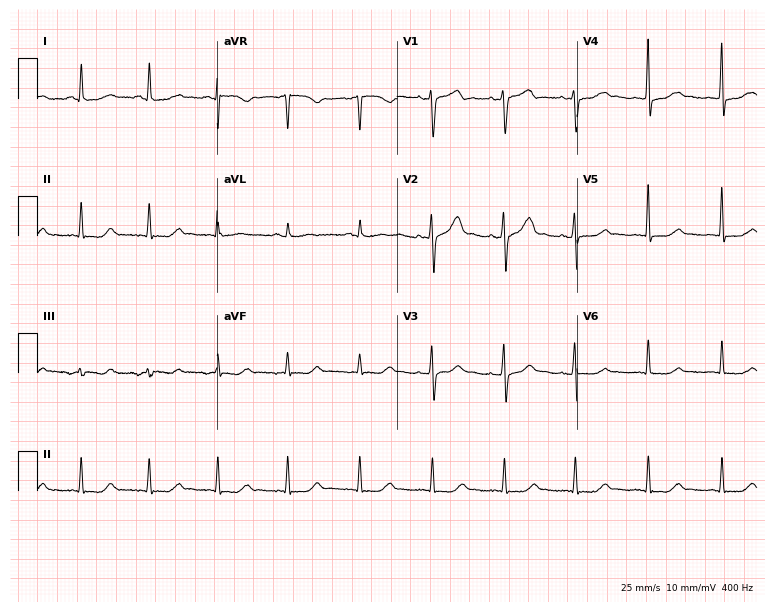
Electrocardiogram, a 51-year-old female patient. Overall reading on record: normal ECG.